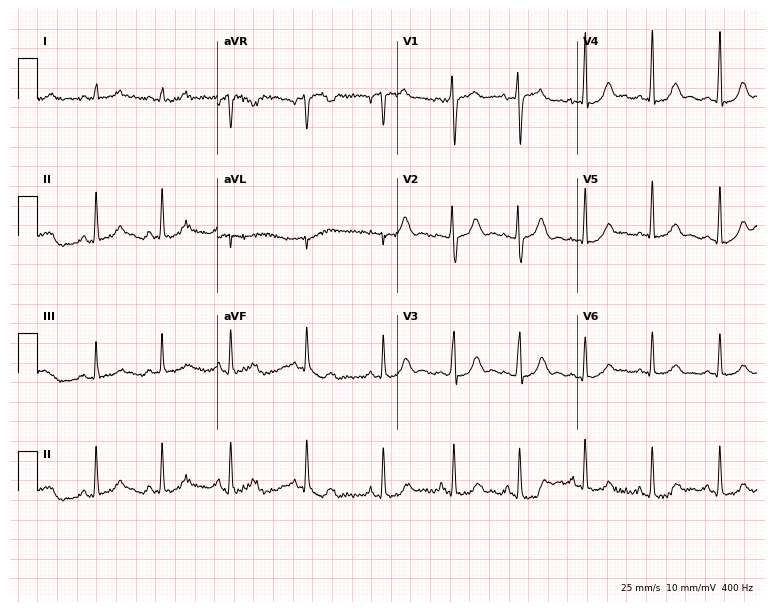
12-lead ECG from a female, 38 years old. Screened for six findings — first-degree AV block, right bundle branch block, left bundle branch block, sinus bradycardia, atrial fibrillation, sinus tachycardia — none is recorded. Other findings, if any, are not listed.